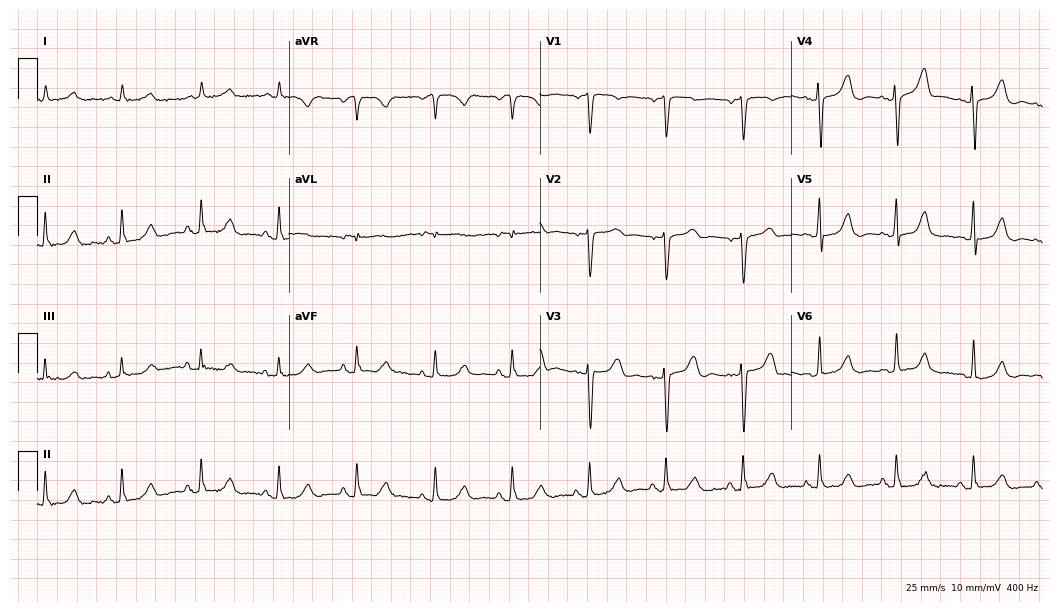
ECG (10.2-second recording at 400 Hz) — a male, 53 years old. Screened for six findings — first-degree AV block, right bundle branch block, left bundle branch block, sinus bradycardia, atrial fibrillation, sinus tachycardia — none is recorded. Other findings, if any, are not listed.